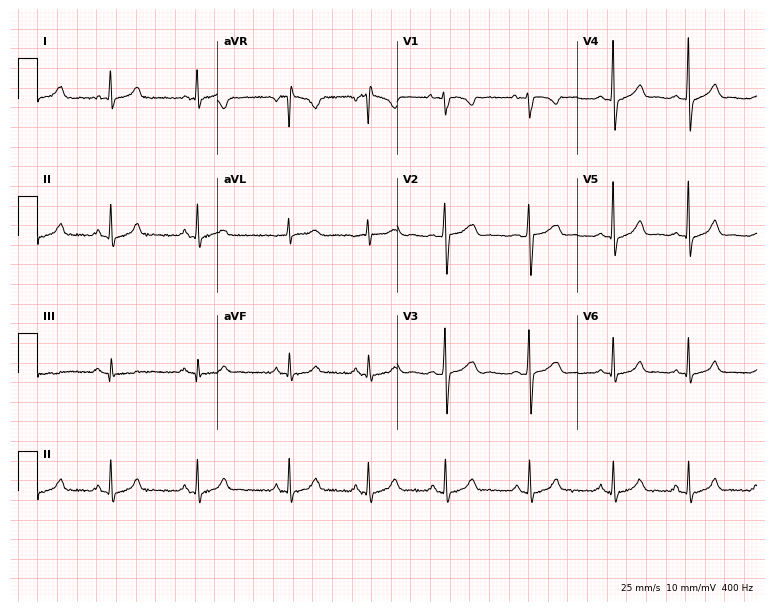
Standard 12-lead ECG recorded from a woman, 25 years old. Read as a normal ECG.